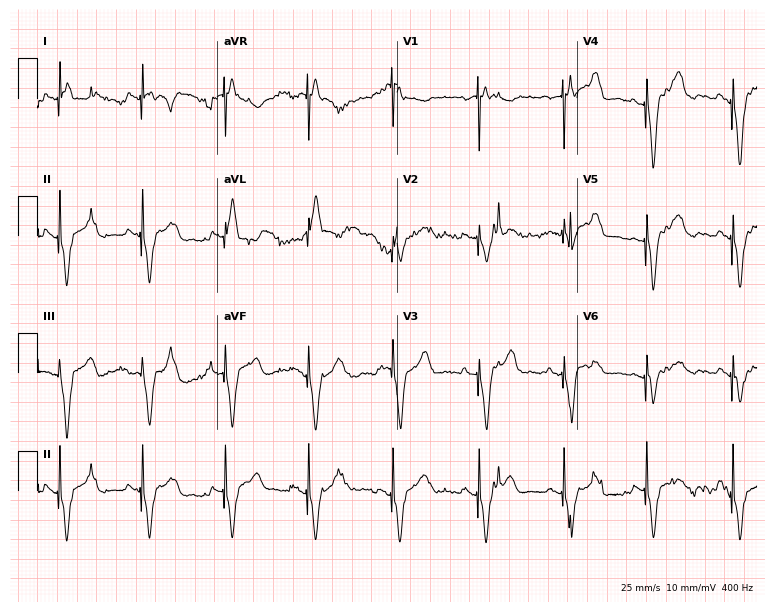
Resting 12-lead electrocardiogram. Patient: a 50-year-old woman. None of these six findings is recorded: first-degree AV block, right bundle branch block (RBBB), left bundle branch block (LBBB), sinus bradycardia, atrial fibrillation (AF), sinus tachycardia.